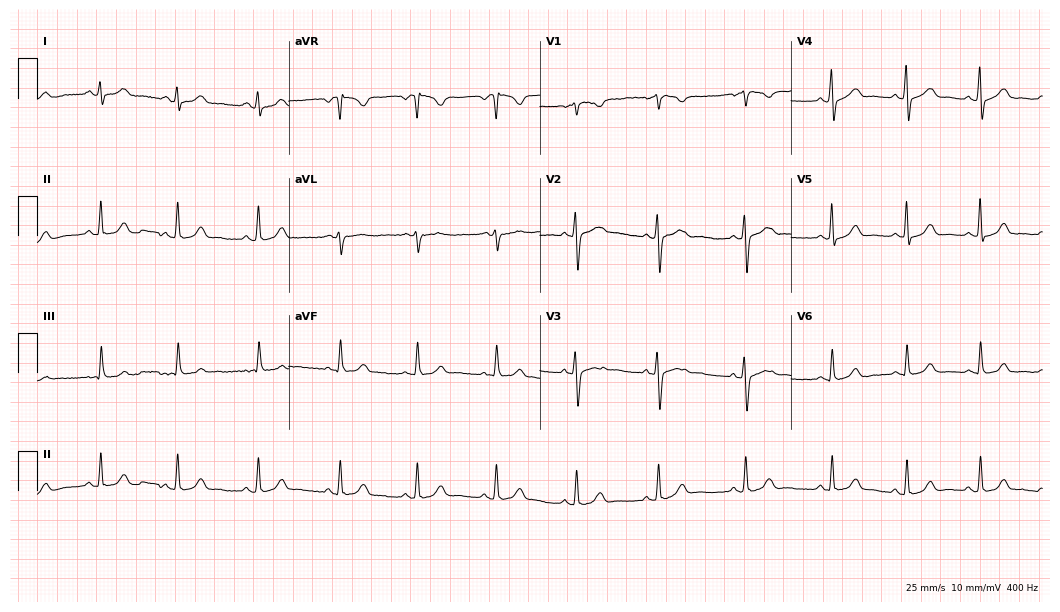
Standard 12-lead ECG recorded from a female, 25 years old. Read as a normal ECG.